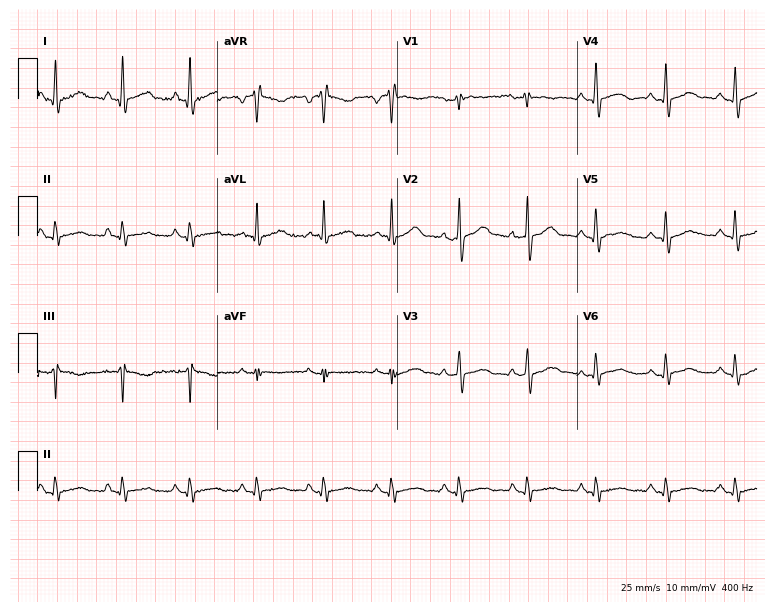
Electrocardiogram (7.3-second recording at 400 Hz), a 55-year-old male patient. Of the six screened findings (first-degree AV block, right bundle branch block, left bundle branch block, sinus bradycardia, atrial fibrillation, sinus tachycardia), none is recorded.